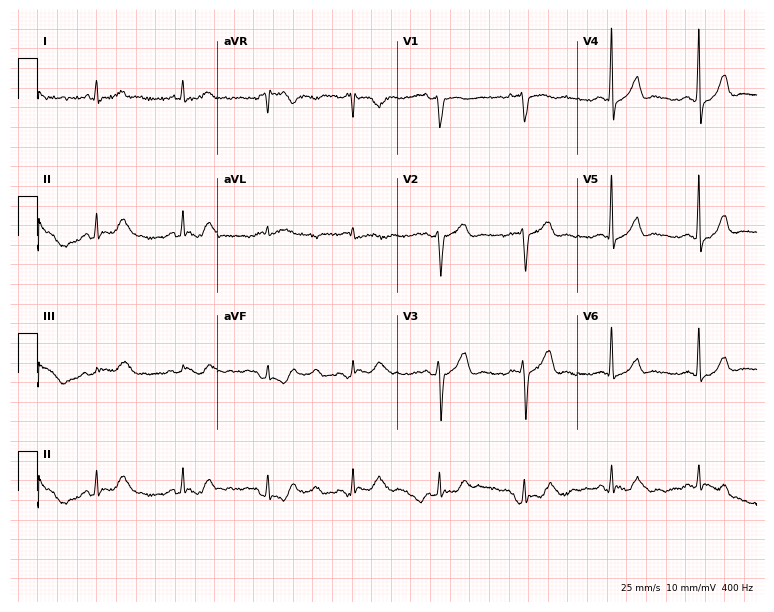
ECG — a 58-year-old male. Screened for six findings — first-degree AV block, right bundle branch block, left bundle branch block, sinus bradycardia, atrial fibrillation, sinus tachycardia — none is recorded. Only these six findings were labelled.